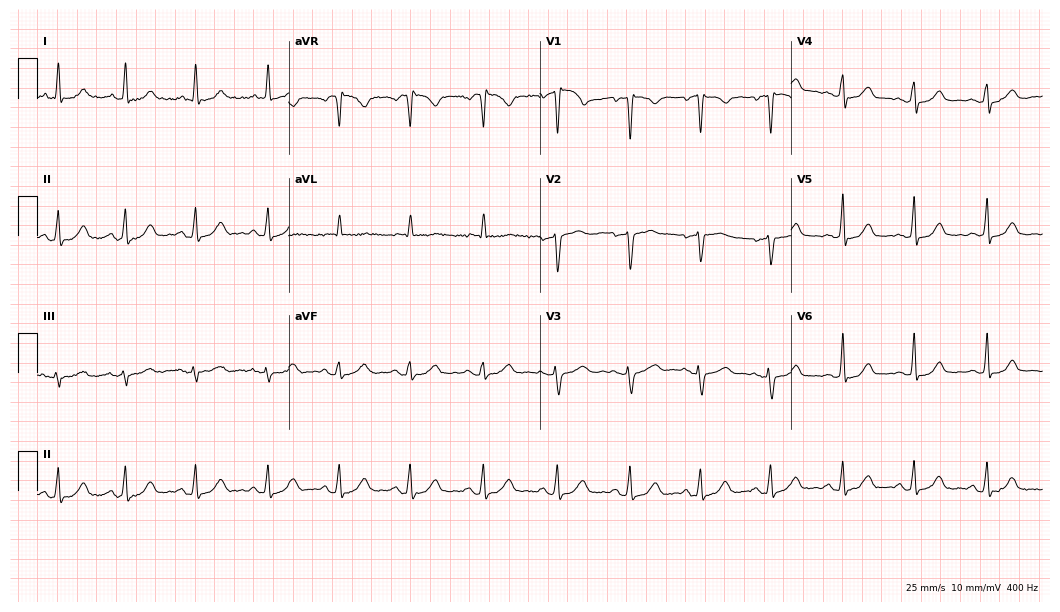
Electrocardiogram (10.2-second recording at 400 Hz), a 45-year-old female patient. Overall reading on record: normal ECG.